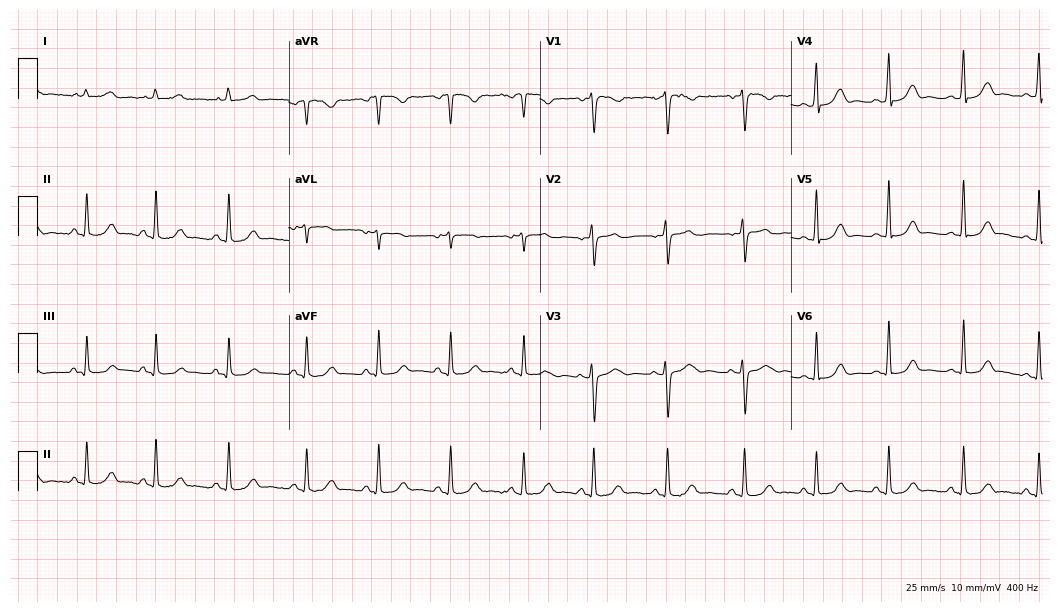
12-lead ECG from a 34-year-old woman. Recorded interpretation: within normal limits.